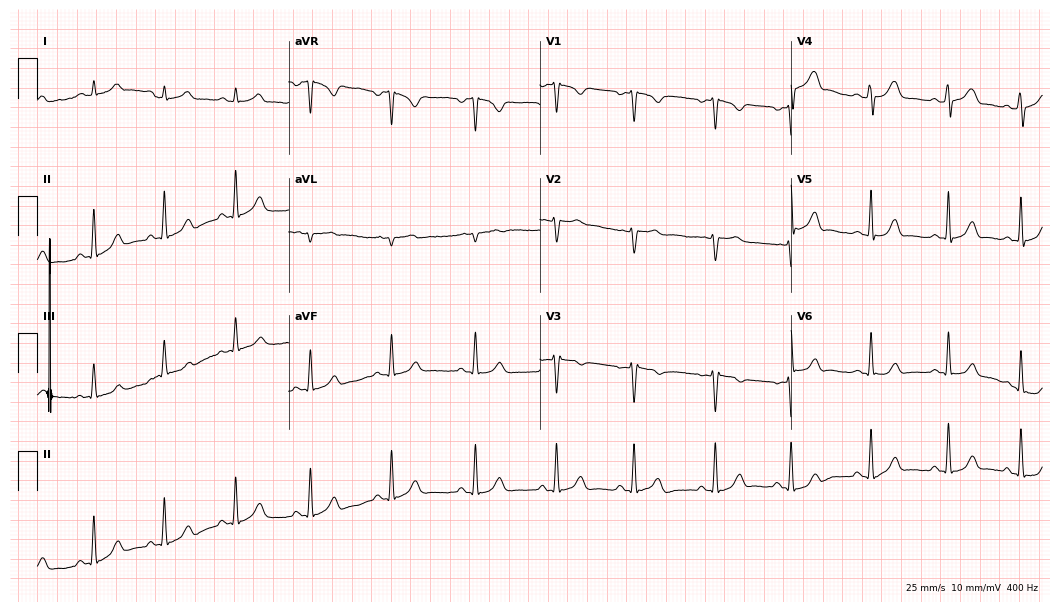
ECG — a 35-year-old female. Screened for six findings — first-degree AV block, right bundle branch block, left bundle branch block, sinus bradycardia, atrial fibrillation, sinus tachycardia — none is recorded. Other findings, if any, are not listed.